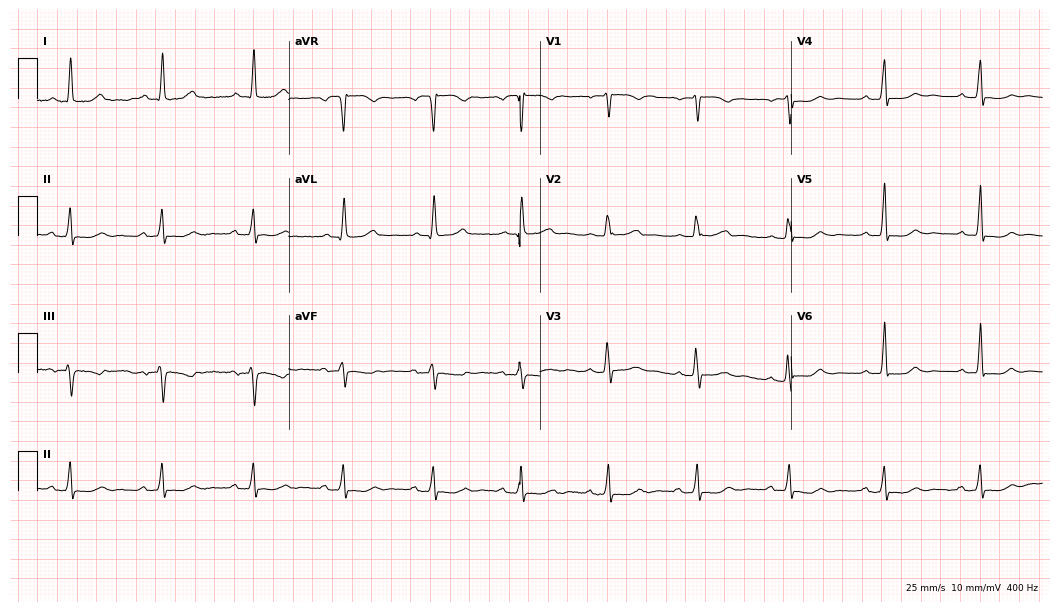
12-lead ECG from a woman, 73 years old. No first-degree AV block, right bundle branch block, left bundle branch block, sinus bradycardia, atrial fibrillation or sinus tachycardia recorded for this tracing.